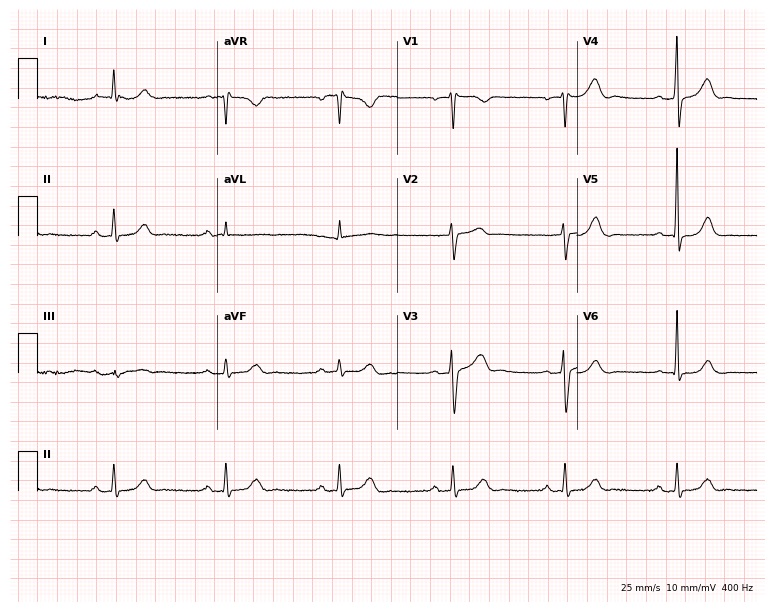
ECG (7.3-second recording at 400 Hz) — a male patient, 68 years old. Labelled as a normal ECG.